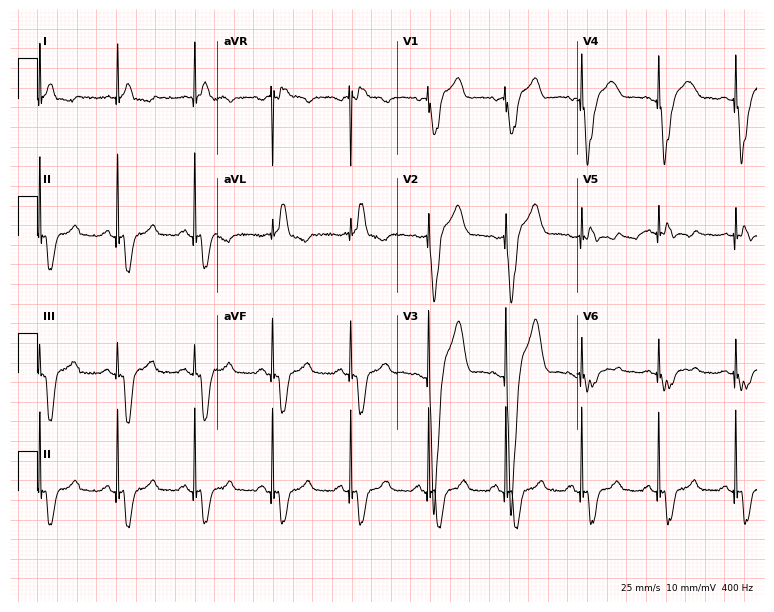
12-lead ECG from a 69-year-old man. Screened for six findings — first-degree AV block, right bundle branch block (RBBB), left bundle branch block (LBBB), sinus bradycardia, atrial fibrillation (AF), sinus tachycardia — none is recorded. Other findings, if any, are not listed.